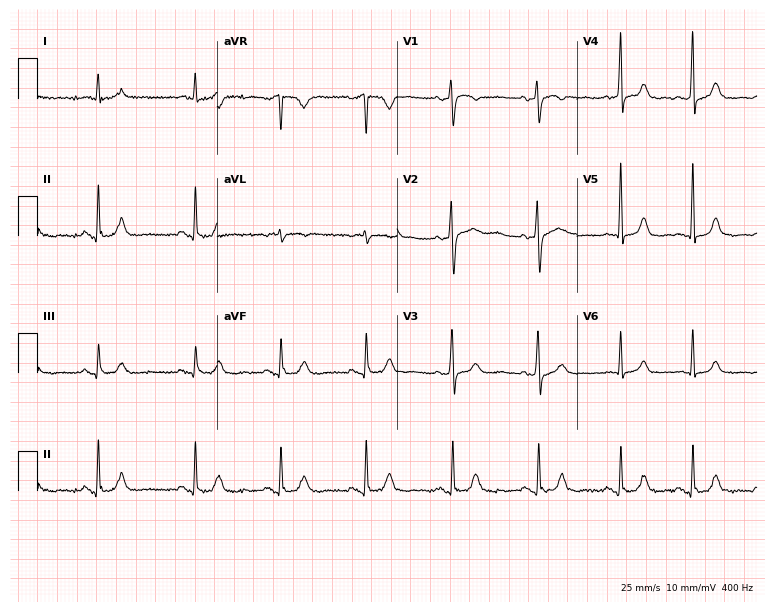
Standard 12-lead ECG recorded from a 62-year-old woman (7.3-second recording at 400 Hz). None of these six findings is recorded: first-degree AV block, right bundle branch block (RBBB), left bundle branch block (LBBB), sinus bradycardia, atrial fibrillation (AF), sinus tachycardia. Only these six findings were labelled.